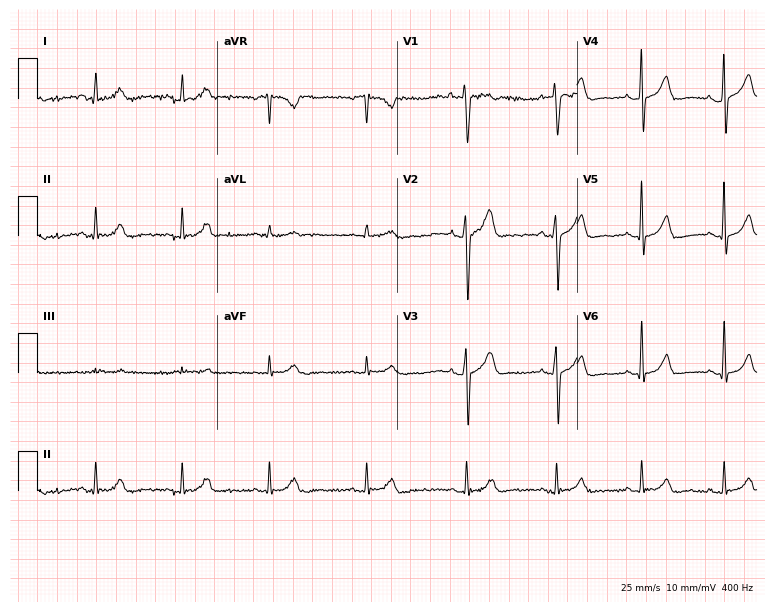
ECG (7.3-second recording at 400 Hz) — an 18-year-old woman. Labelled as a normal ECG.